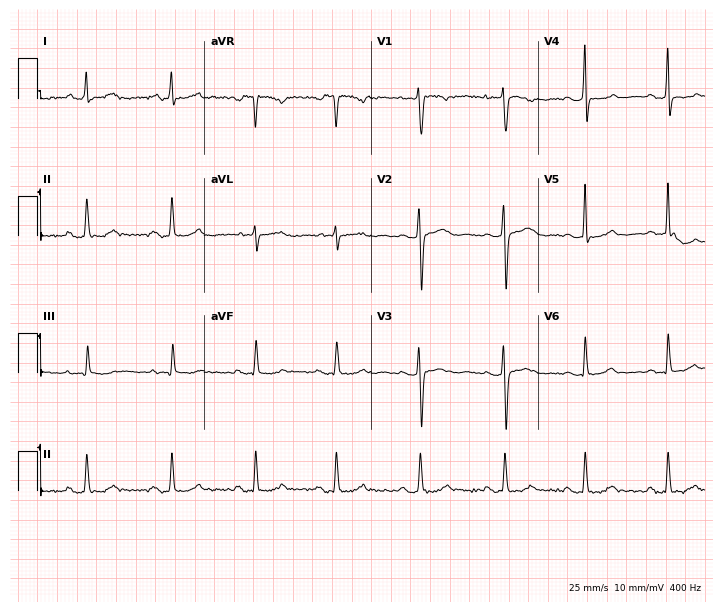
ECG (6.8-second recording at 400 Hz) — a female patient, 29 years old. Screened for six findings — first-degree AV block, right bundle branch block (RBBB), left bundle branch block (LBBB), sinus bradycardia, atrial fibrillation (AF), sinus tachycardia — none is recorded.